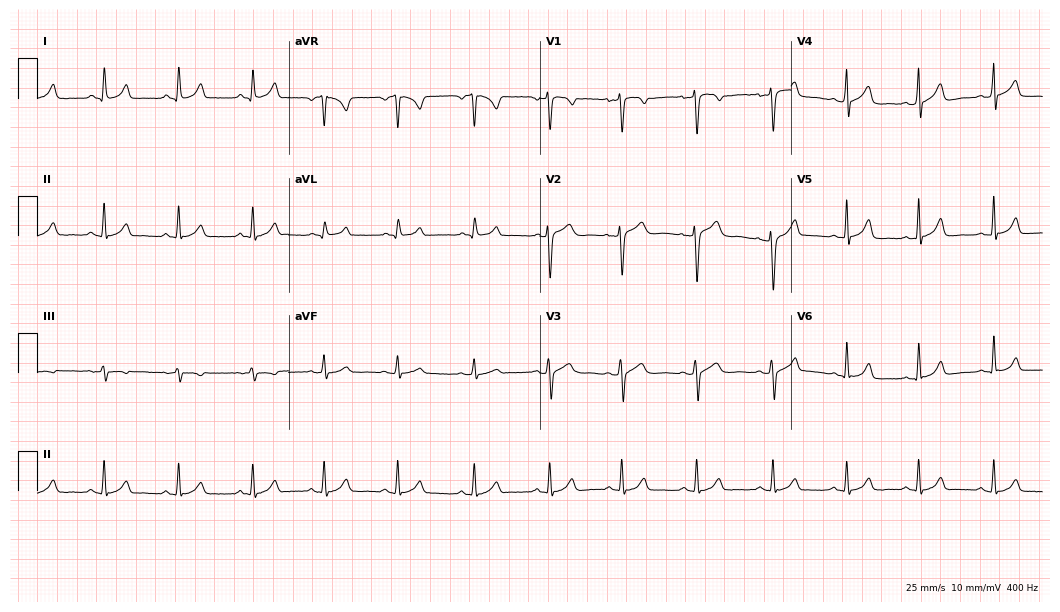
Resting 12-lead electrocardiogram (10.2-second recording at 400 Hz). Patient: a 19-year-old woman. None of these six findings is recorded: first-degree AV block, right bundle branch block, left bundle branch block, sinus bradycardia, atrial fibrillation, sinus tachycardia.